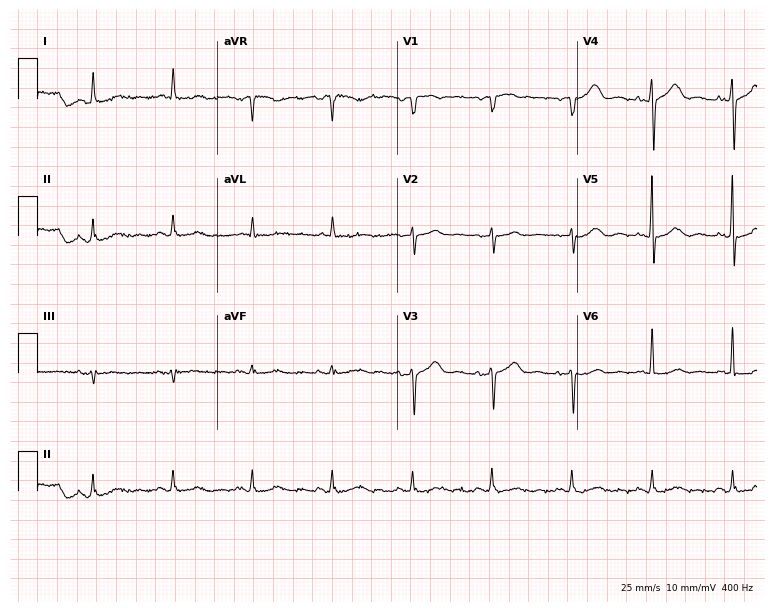
12-lead ECG (7.3-second recording at 400 Hz) from an 80-year-old woman. Screened for six findings — first-degree AV block, right bundle branch block, left bundle branch block, sinus bradycardia, atrial fibrillation, sinus tachycardia — none is recorded. Other findings, if any, are not listed.